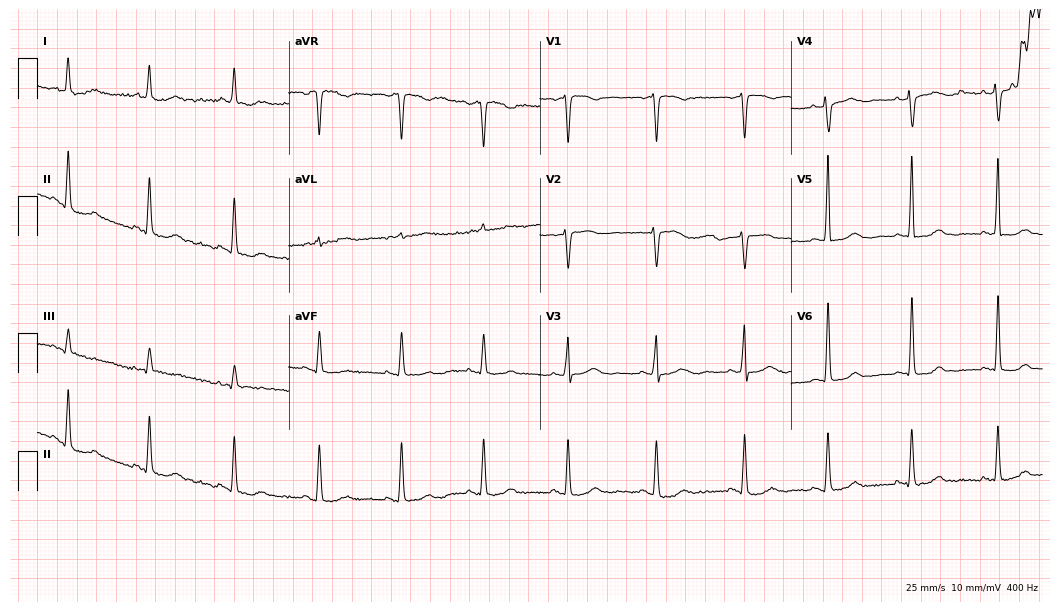
Standard 12-lead ECG recorded from a 69-year-old woman. None of these six findings is recorded: first-degree AV block, right bundle branch block, left bundle branch block, sinus bradycardia, atrial fibrillation, sinus tachycardia.